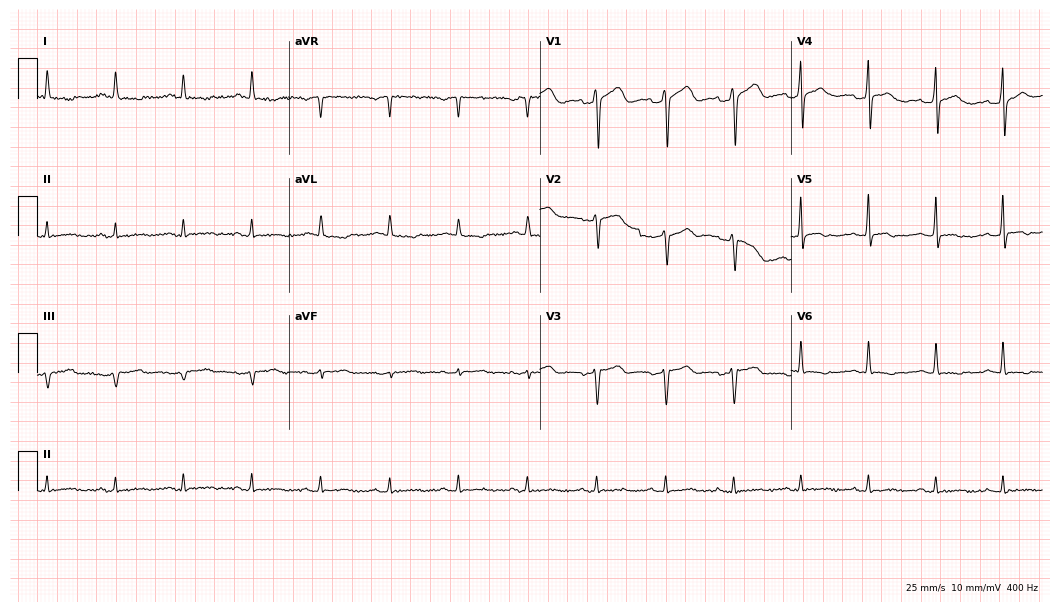
ECG (10.2-second recording at 400 Hz) — a man, 38 years old. Screened for six findings — first-degree AV block, right bundle branch block, left bundle branch block, sinus bradycardia, atrial fibrillation, sinus tachycardia — none is recorded. Other findings, if any, are not listed.